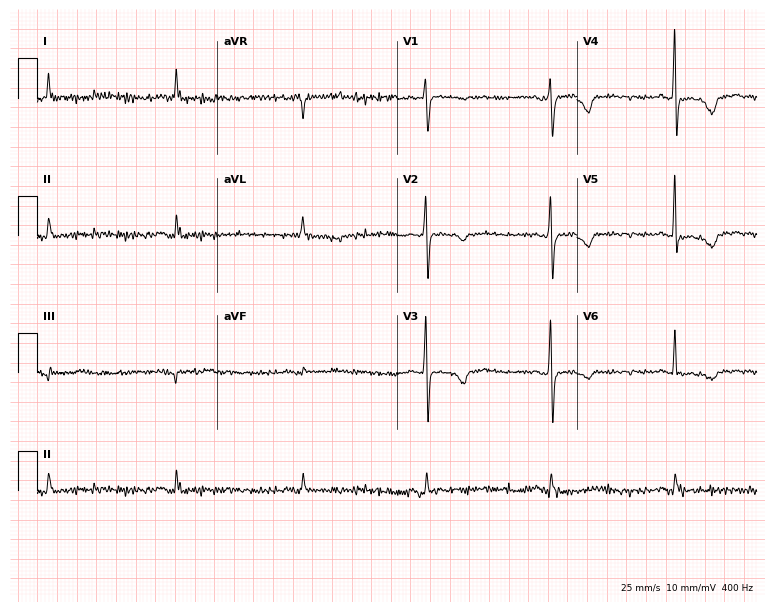
Resting 12-lead electrocardiogram. Patient: a 42-year-old female. None of these six findings is recorded: first-degree AV block, right bundle branch block, left bundle branch block, sinus bradycardia, atrial fibrillation, sinus tachycardia.